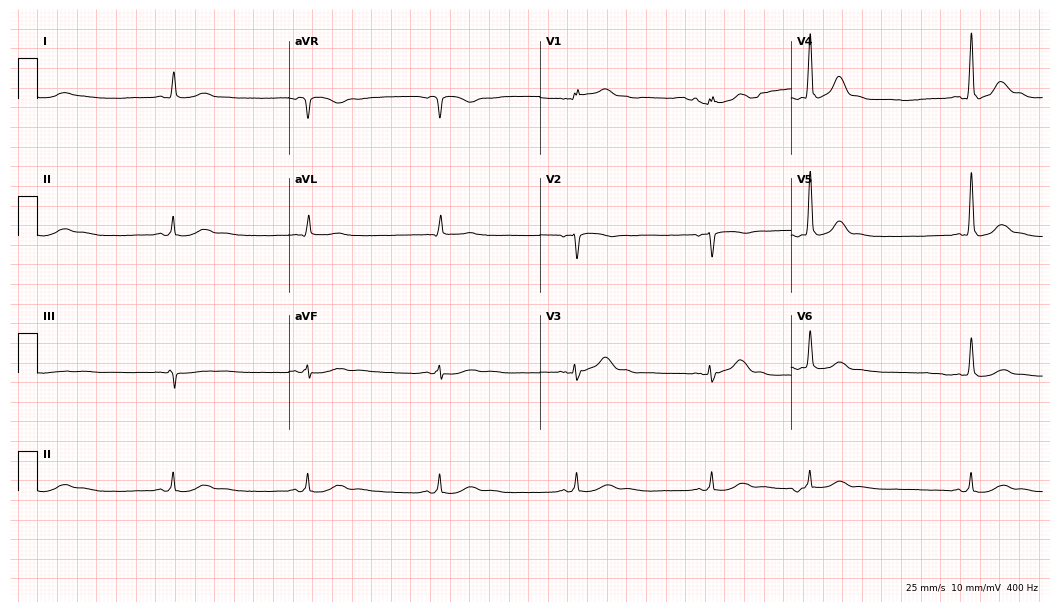
ECG (10.2-second recording at 400 Hz) — an 85-year-old male patient. Findings include sinus bradycardia (a sinus rate of 50 beats per minute or less).